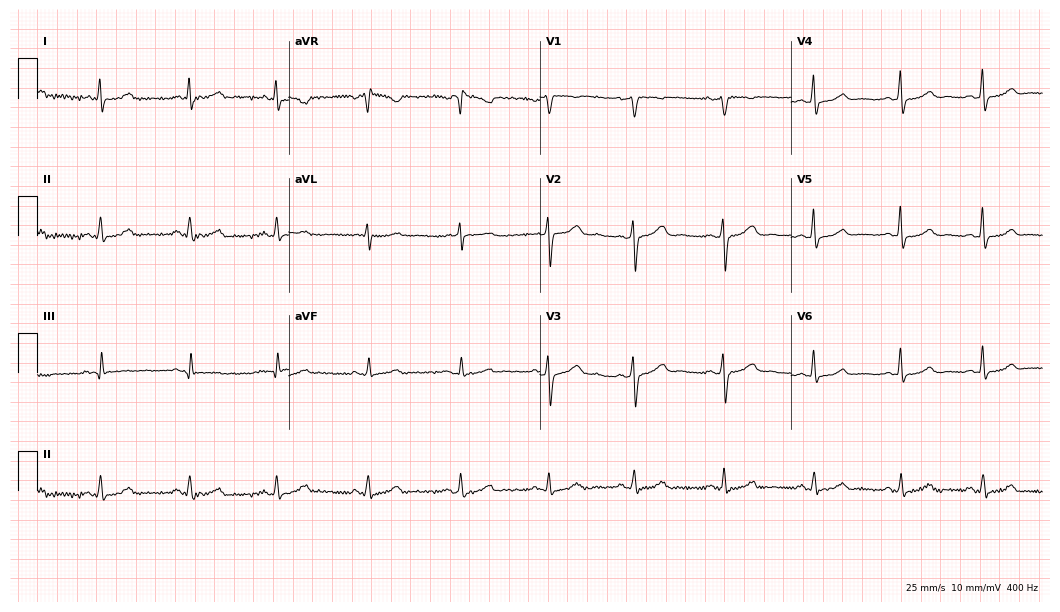
Standard 12-lead ECG recorded from a female, 46 years old. Read as a normal ECG.